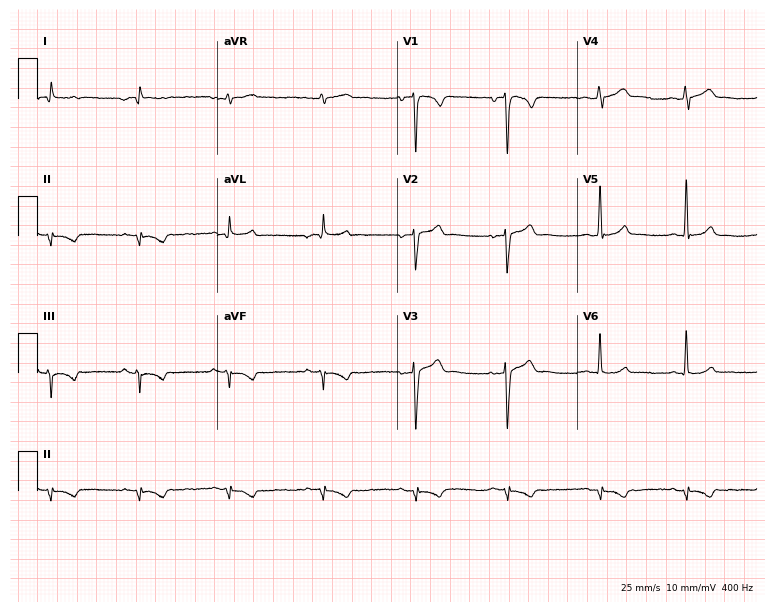
12-lead ECG from a female, 41 years old. No first-degree AV block, right bundle branch block, left bundle branch block, sinus bradycardia, atrial fibrillation or sinus tachycardia recorded for this tracing. Other findings, if any, are not listed.